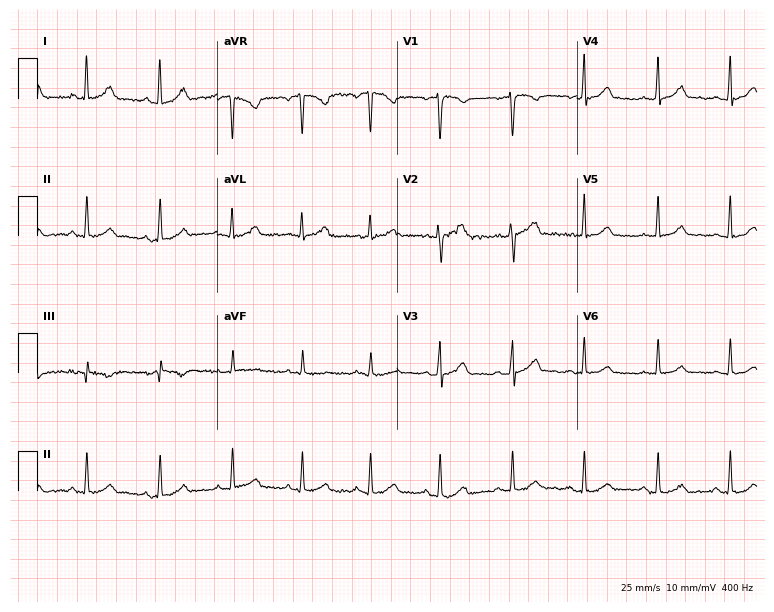
Electrocardiogram, a 28-year-old woman. Overall reading on record: normal ECG.